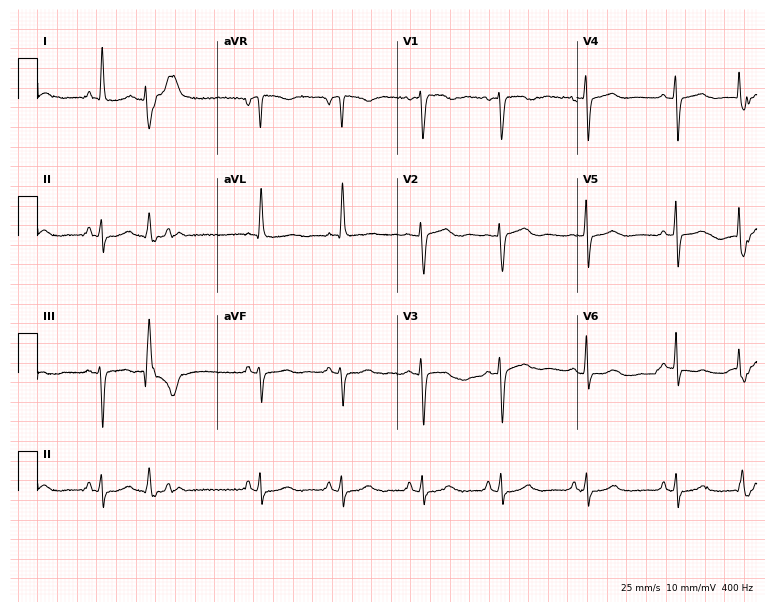
12-lead ECG from a 66-year-old female. Screened for six findings — first-degree AV block, right bundle branch block, left bundle branch block, sinus bradycardia, atrial fibrillation, sinus tachycardia — none is recorded. Only these six findings were labelled.